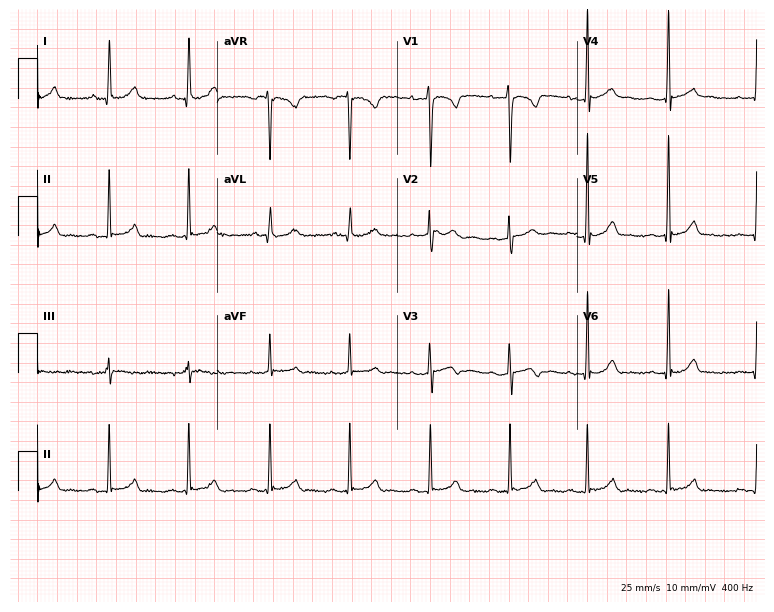
Electrocardiogram (7.3-second recording at 400 Hz), a female patient, 21 years old. Of the six screened findings (first-degree AV block, right bundle branch block (RBBB), left bundle branch block (LBBB), sinus bradycardia, atrial fibrillation (AF), sinus tachycardia), none is recorded.